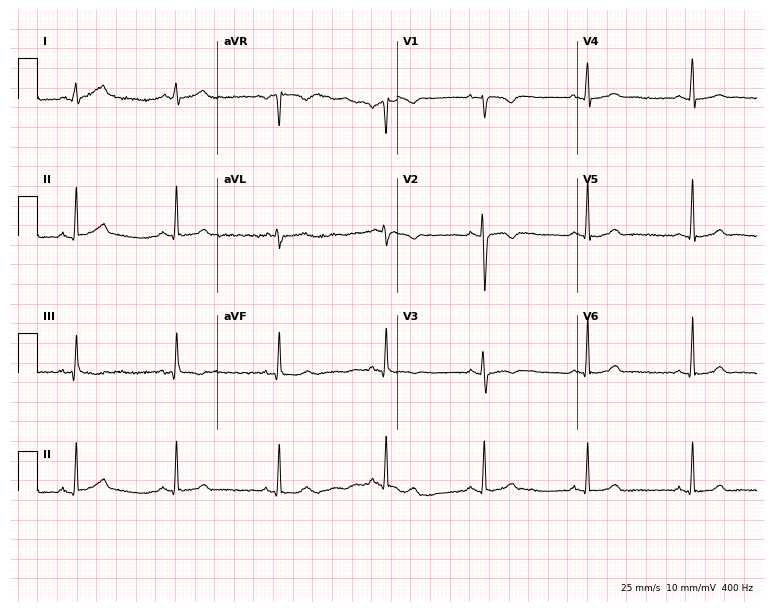
ECG (7.3-second recording at 400 Hz) — a female, 32 years old. Screened for six findings — first-degree AV block, right bundle branch block (RBBB), left bundle branch block (LBBB), sinus bradycardia, atrial fibrillation (AF), sinus tachycardia — none is recorded. Only these six findings were labelled.